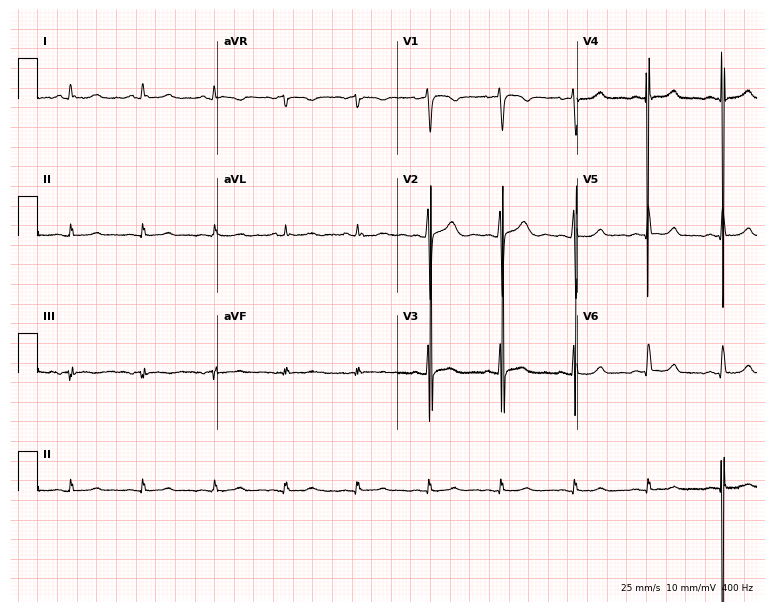
Standard 12-lead ECG recorded from a 53-year-old female. Read as a normal ECG.